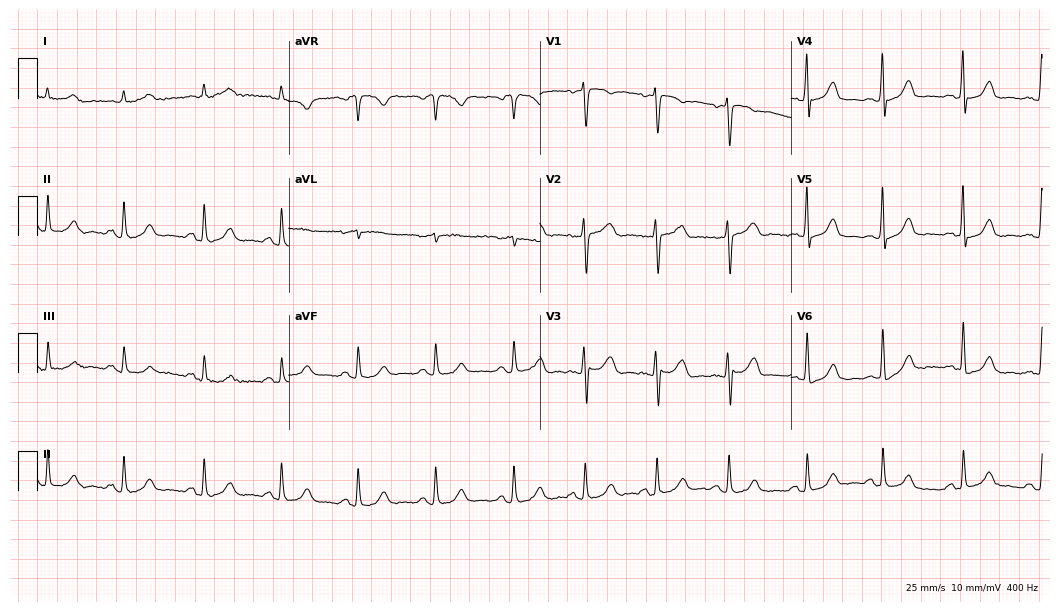
12-lead ECG (10.2-second recording at 400 Hz) from a male patient, 52 years old. Labelled as a normal ECG.